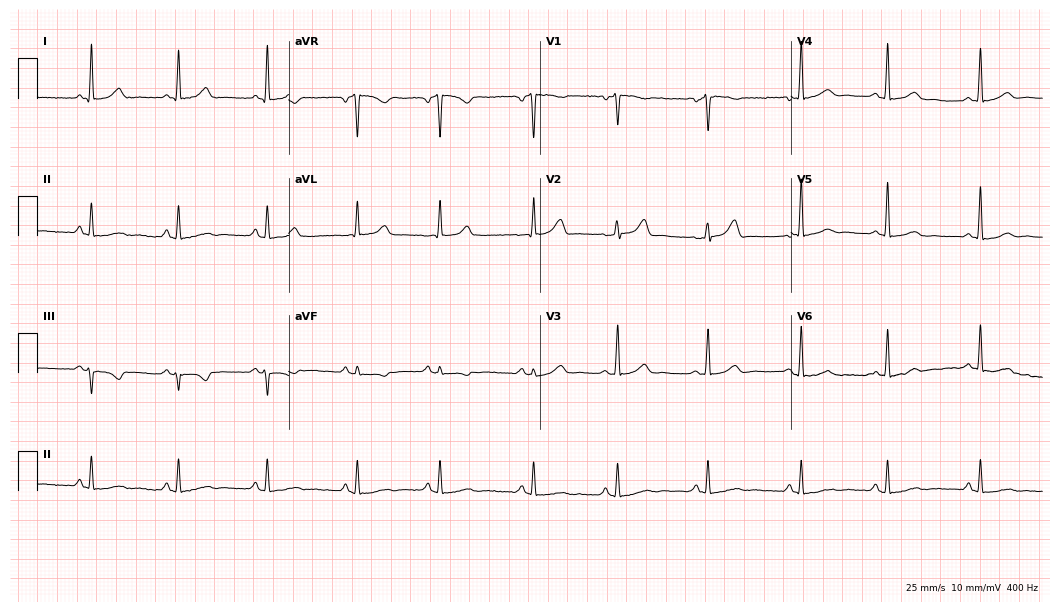
12-lead ECG from a 40-year-old woman. Labelled as a normal ECG.